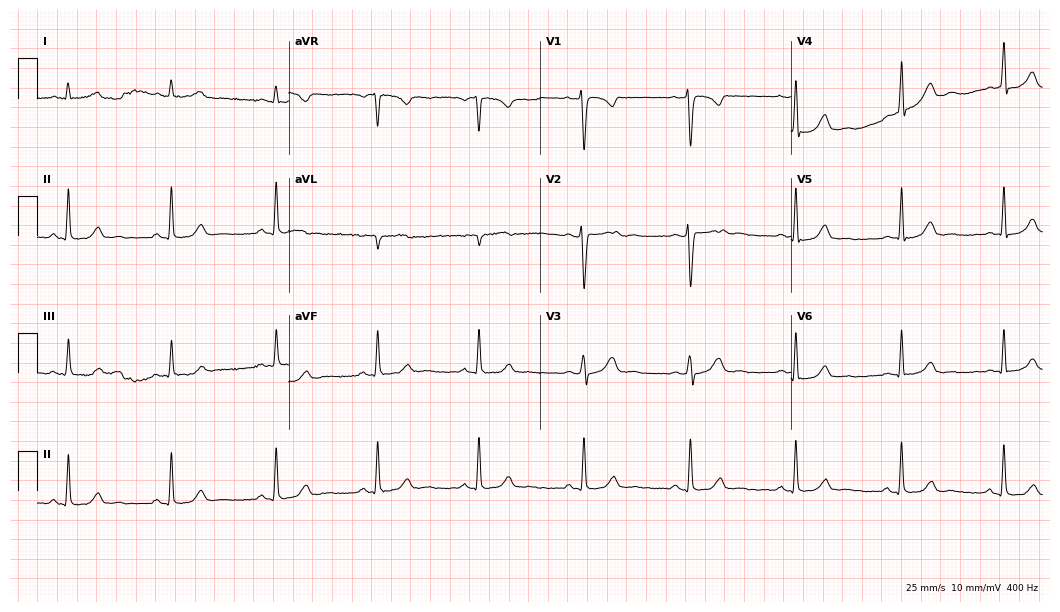
ECG — a woman, 45 years old. Screened for six findings — first-degree AV block, right bundle branch block (RBBB), left bundle branch block (LBBB), sinus bradycardia, atrial fibrillation (AF), sinus tachycardia — none is recorded.